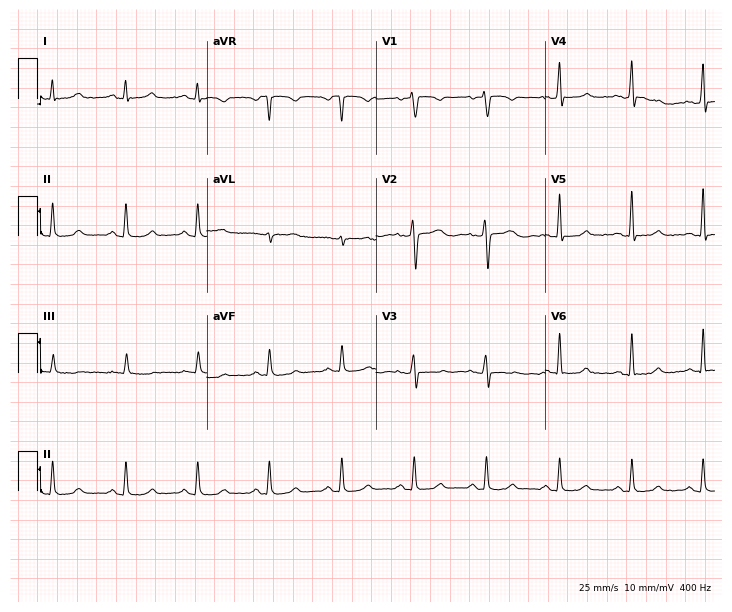
Electrocardiogram, a female, 50 years old. Of the six screened findings (first-degree AV block, right bundle branch block, left bundle branch block, sinus bradycardia, atrial fibrillation, sinus tachycardia), none is recorded.